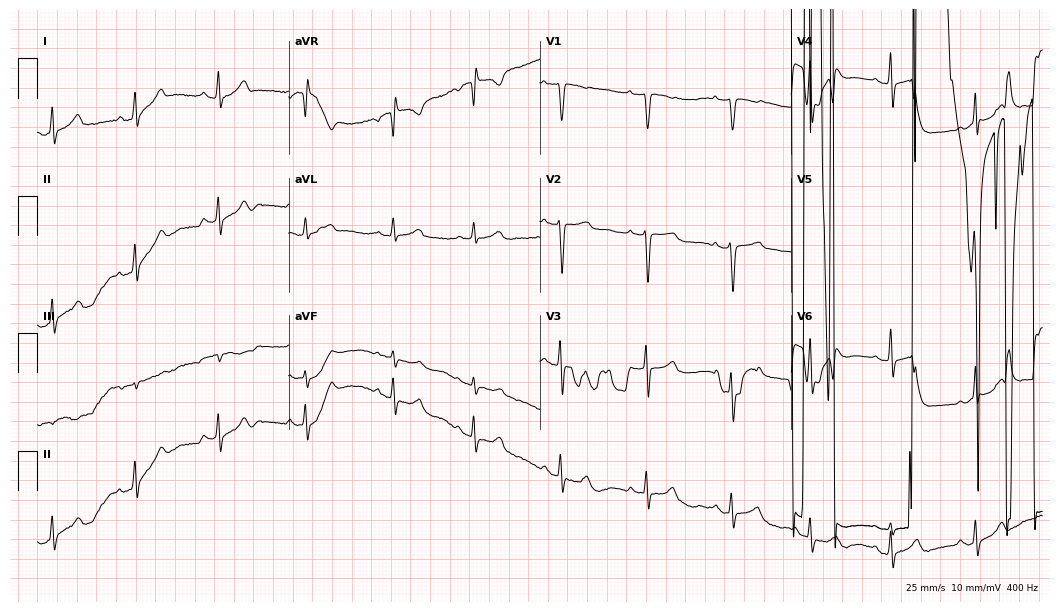
ECG (10.2-second recording at 400 Hz) — a 28-year-old female patient. Screened for six findings — first-degree AV block, right bundle branch block, left bundle branch block, sinus bradycardia, atrial fibrillation, sinus tachycardia — none is recorded.